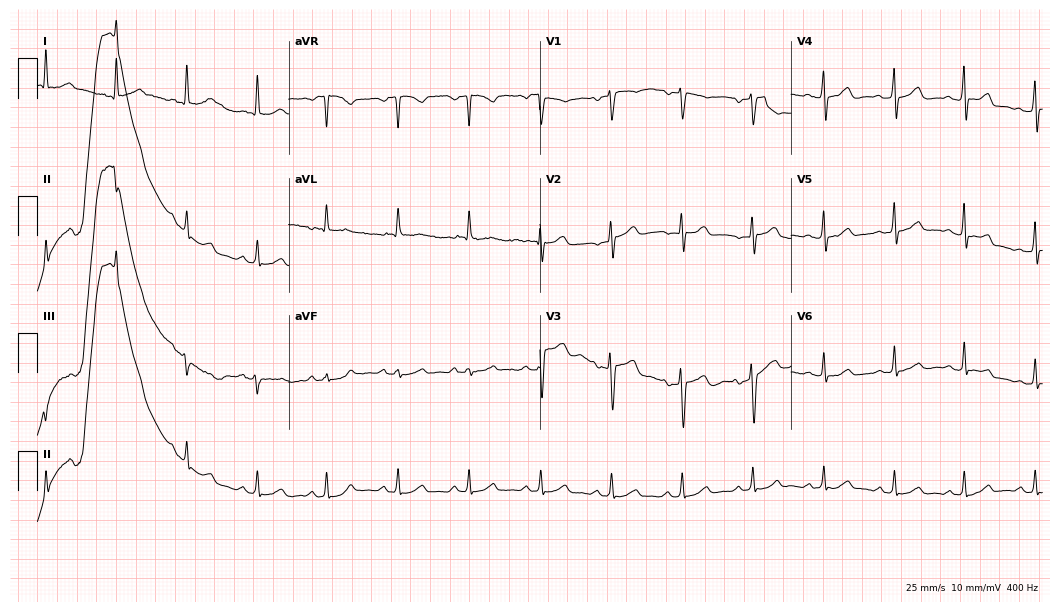
12-lead ECG from a female, 59 years old. Labelled as a normal ECG.